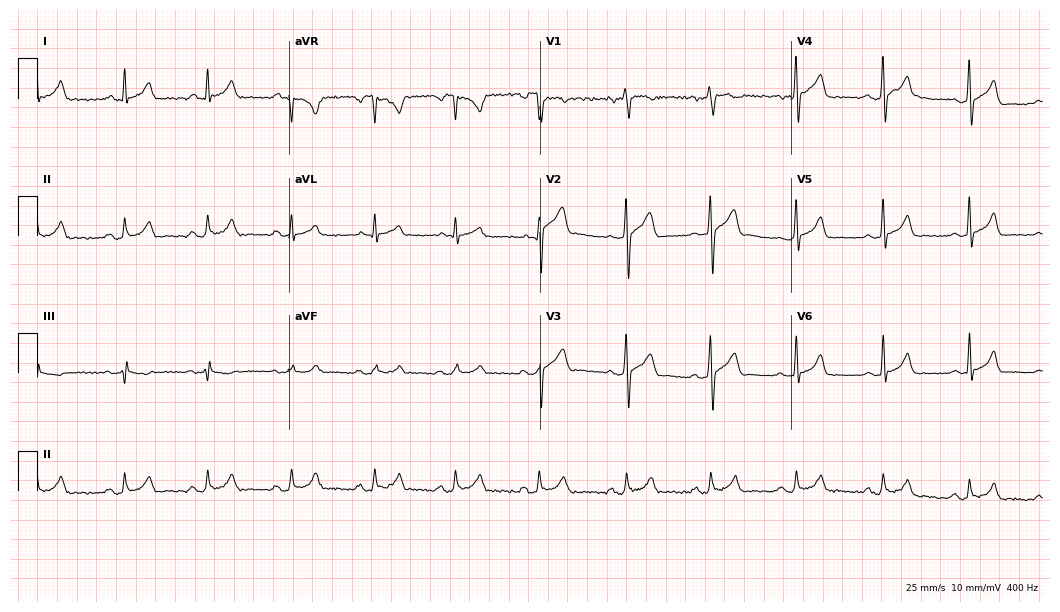
ECG (10.2-second recording at 400 Hz) — a 36-year-old man. Labelled as a normal ECG.